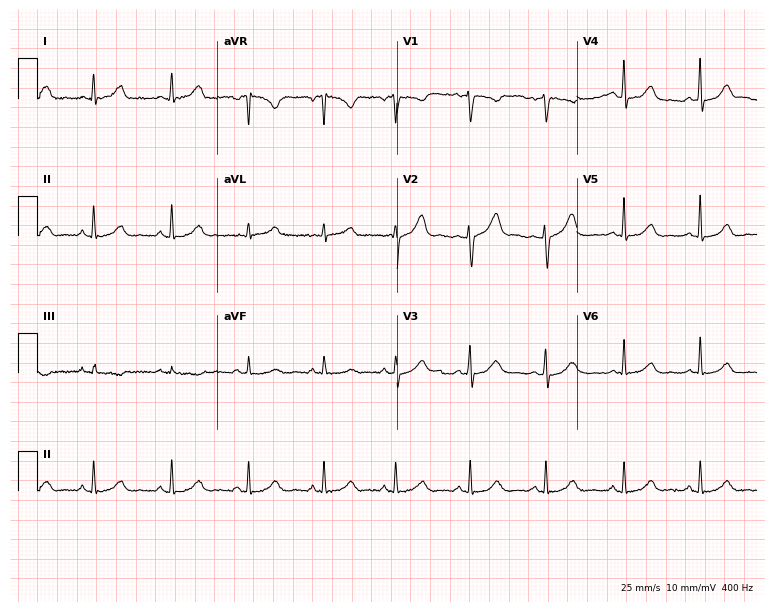
Standard 12-lead ECG recorded from a 33-year-old woman. Read as a normal ECG.